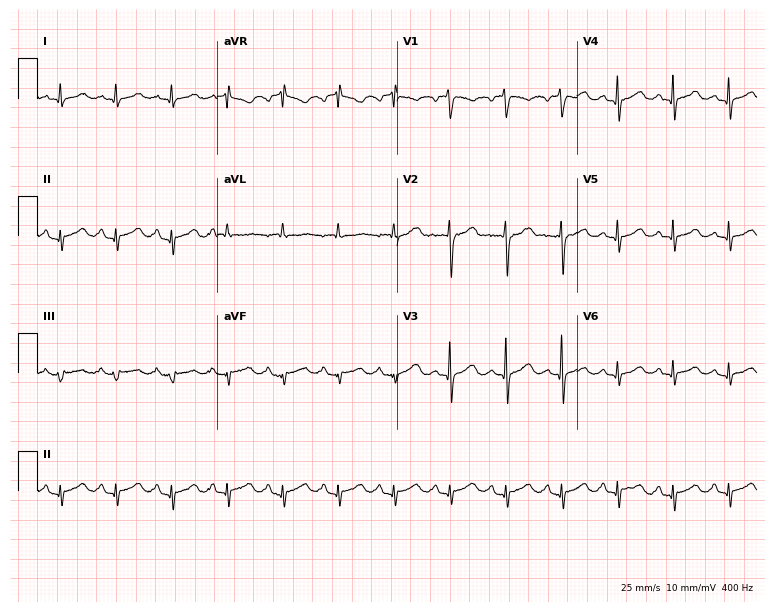
ECG (7.3-second recording at 400 Hz) — a male, 55 years old. Findings include sinus tachycardia (a sinus rate of 100 beats per minute or more).